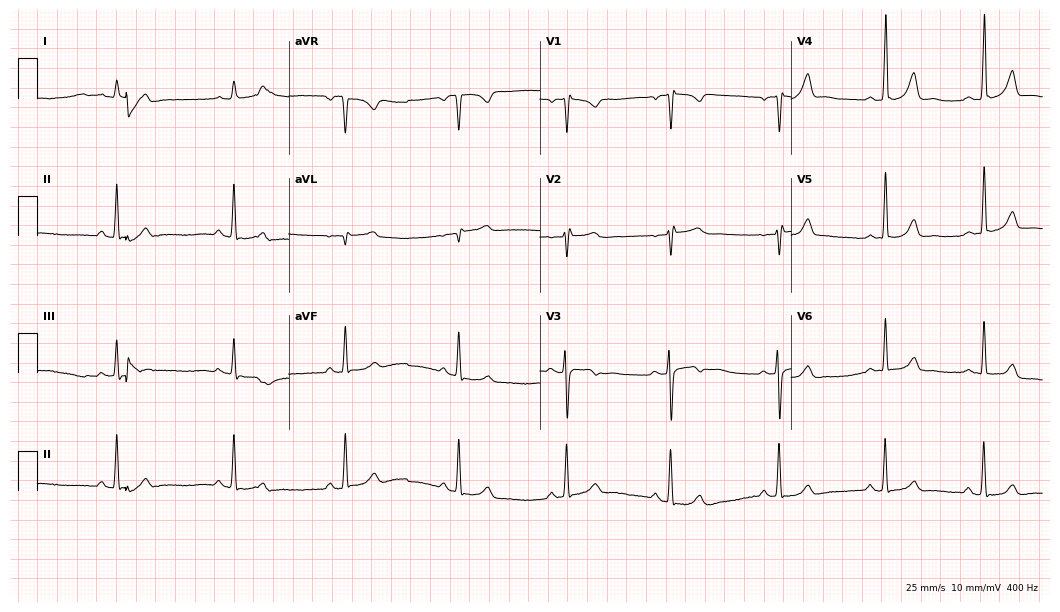
Electrocardiogram, a female, 20 years old. Of the six screened findings (first-degree AV block, right bundle branch block, left bundle branch block, sinus bradycardia, atrial fibrillation, sinus tachycardia), none is recorded. Only these six findings were labelled.